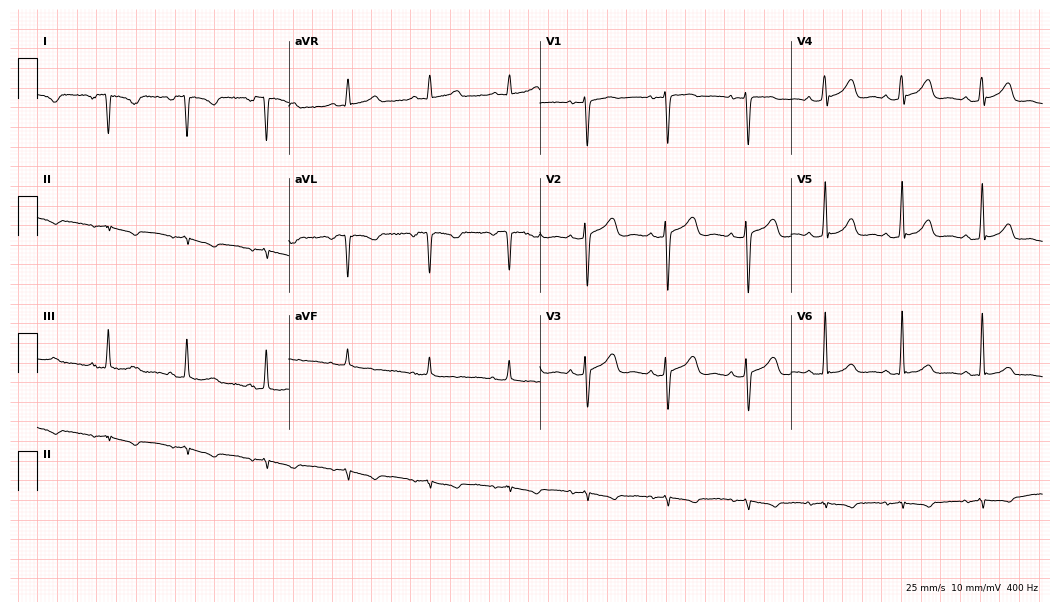
Resting 12-lead electrocardiogram (10.2-second recording at 400 Hz). Patient: a 43-year-old female. None of these six findings is recorded: first-degree AV block, right bundle branch block, left bundle branch block, sinus bradycardia, atrial fibrillation, sinus tachycardia.